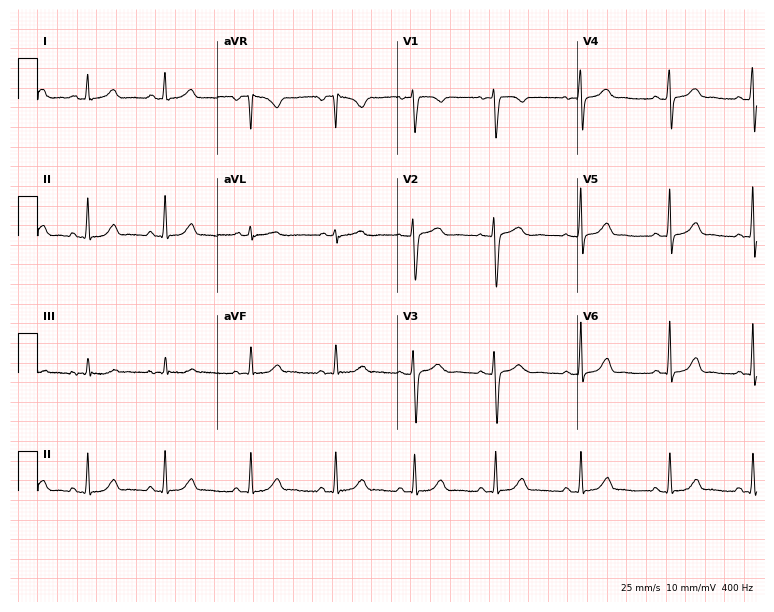
12-lead ECG from a woman, 24 years old (7.3-second recording at 400 Hz). No first-degree AV block, right bundle branch block (RBBB), left bundle branch block (LBBB), sinus bradycardia, atrial fibrillation (AF) or sinus tachycardia recorded for this tracing.